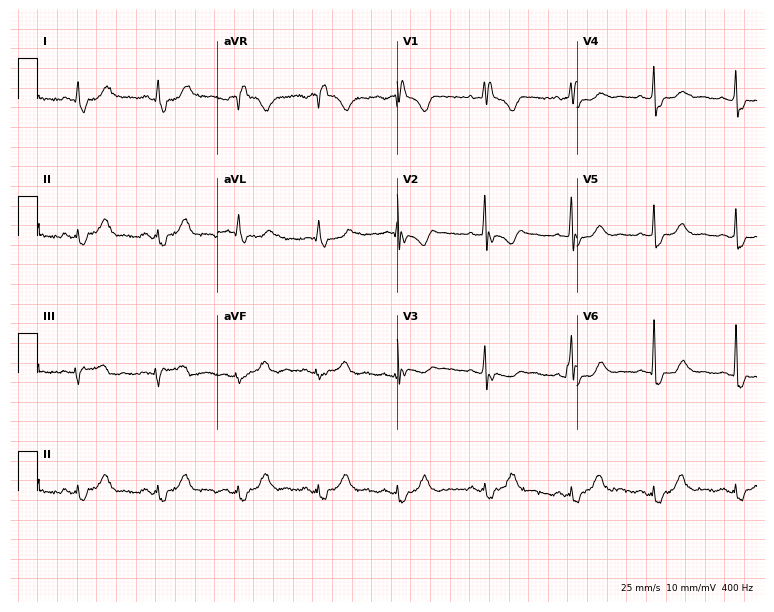
12-lead ECG from a female patient, 51 years old (7.3-second recording at 400 Hz). Shows right bundle branch block (RBBB).